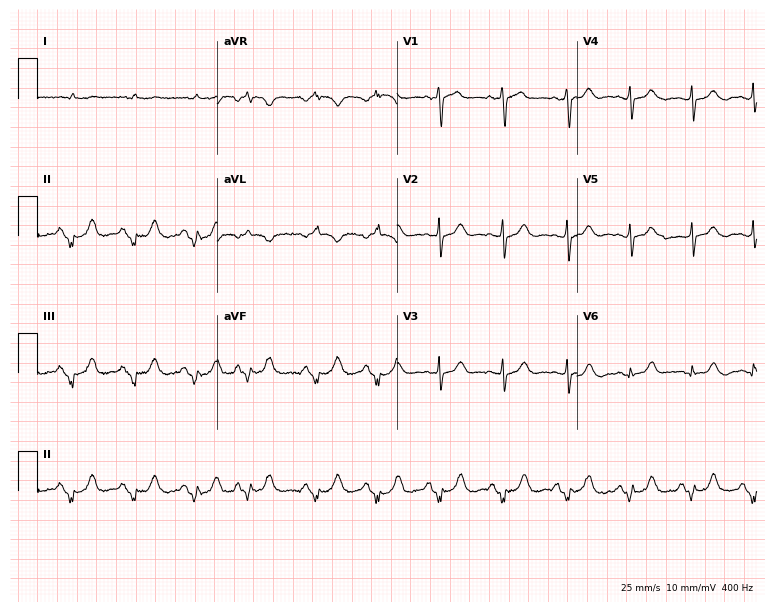
12-lead ECG (7.3-second recording at 400 Hz) from a 54-year-old male patient. Screened for six findings — first-degree AV block, right bundle branch block, left bundle branch block, sinus bradycardia, atrial fibrillation, sinus tachycardia — none is recorded.